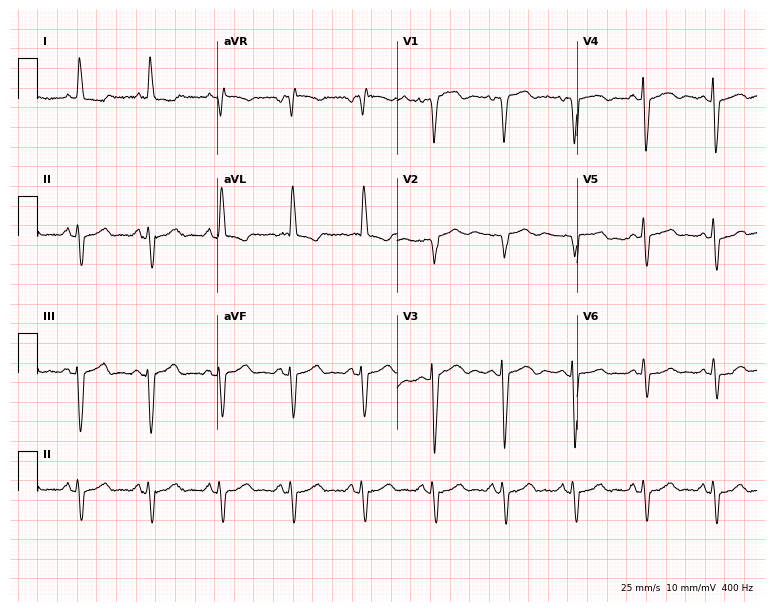
ECG (7.3-second recording at 400 Hz) — an 80-year-old female patient. Screened for six findings — first-degree AV block, right bundle branch block, left bundle branch block, sinus bradycardia, atrial fibrillation, sinus tachycardia — none is recorded.